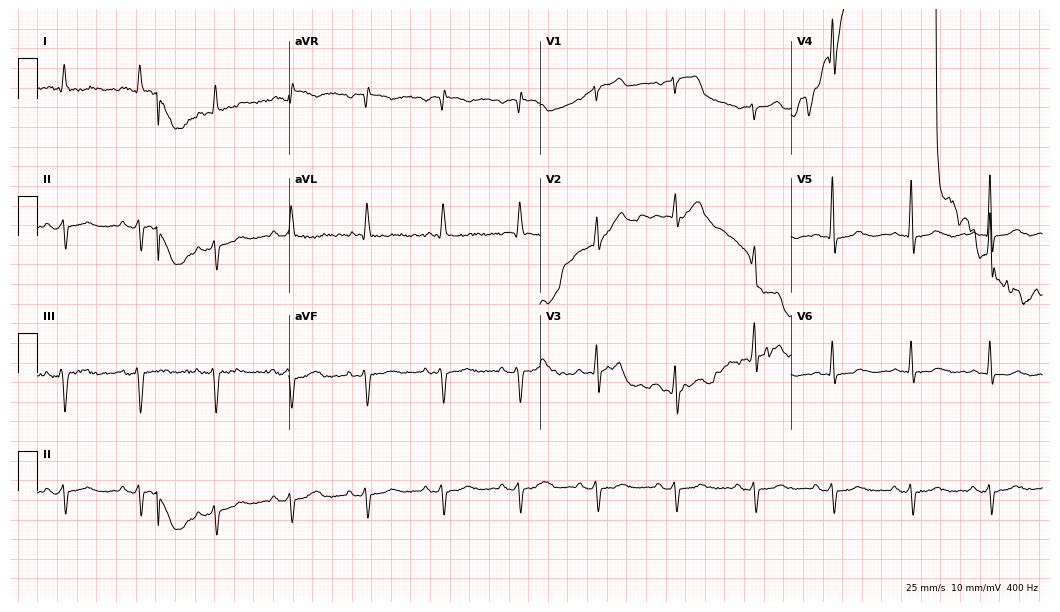
ECG — a male, 79 years old. Findings include atrial fibrillation.